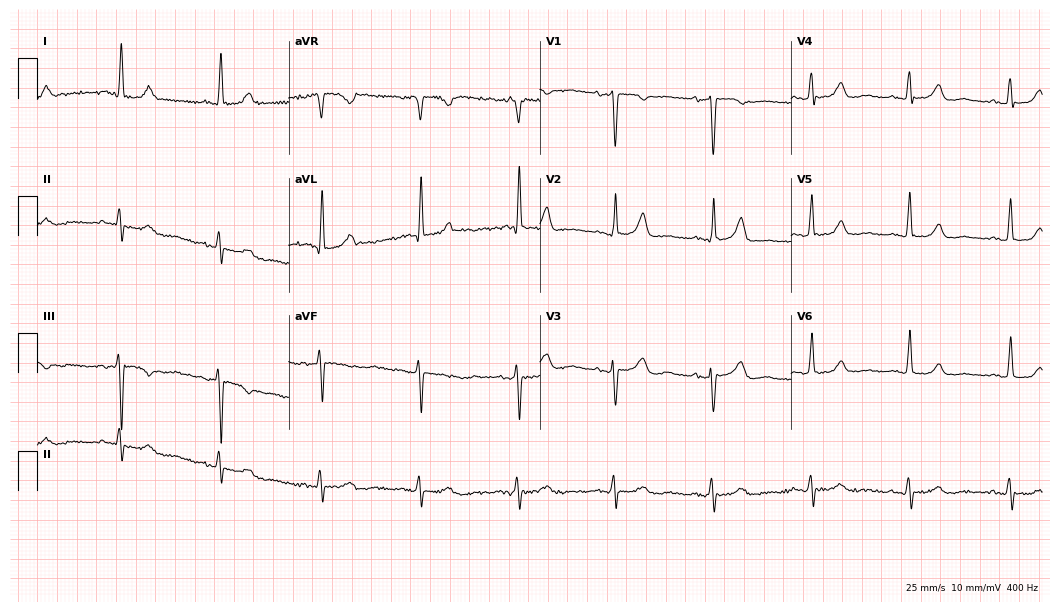
Electrocardiogram (10.2-second recording at 400 Hz), a female, 70 years old. Overall reading on record: normal ECG.